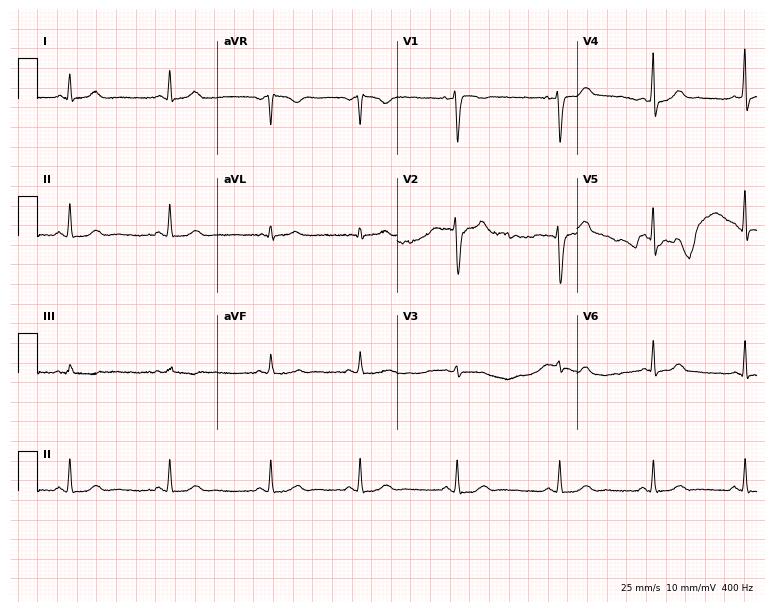
12-lead ECG (7.3-second recording at 400 Hz) from a woman, 34 years old. Labelled as a normal ECG.